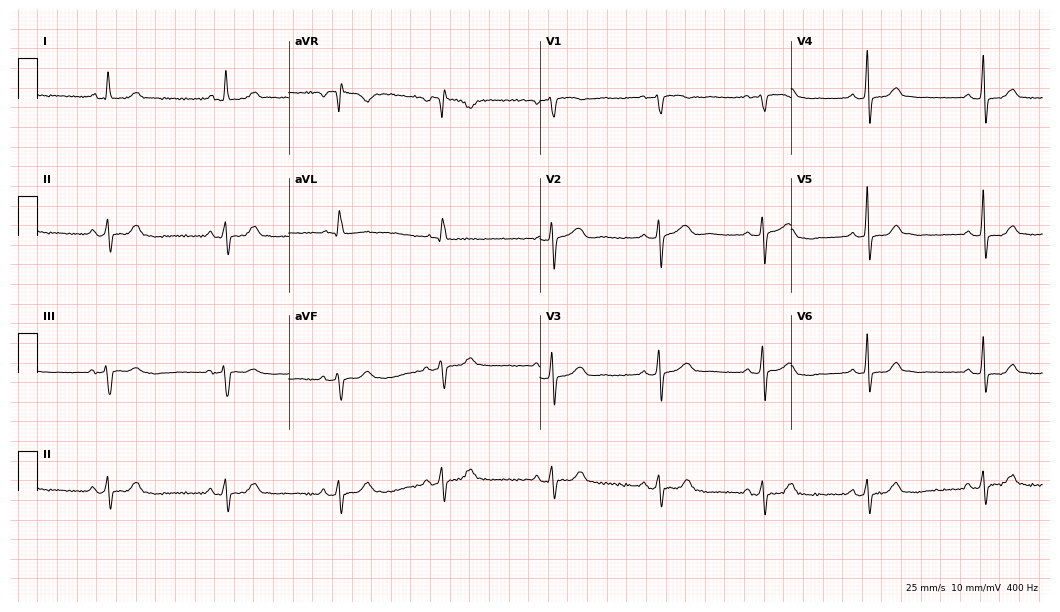
Standard 12-lead ECG recorded from a female, 55 years old. None of these six findings is recorded: first-degree AV block, right bundle branch block, left bundle branch block, sinus bradycardia, atrial fibrillation, sinus tachycardia. Other findings, if any, are not listed.